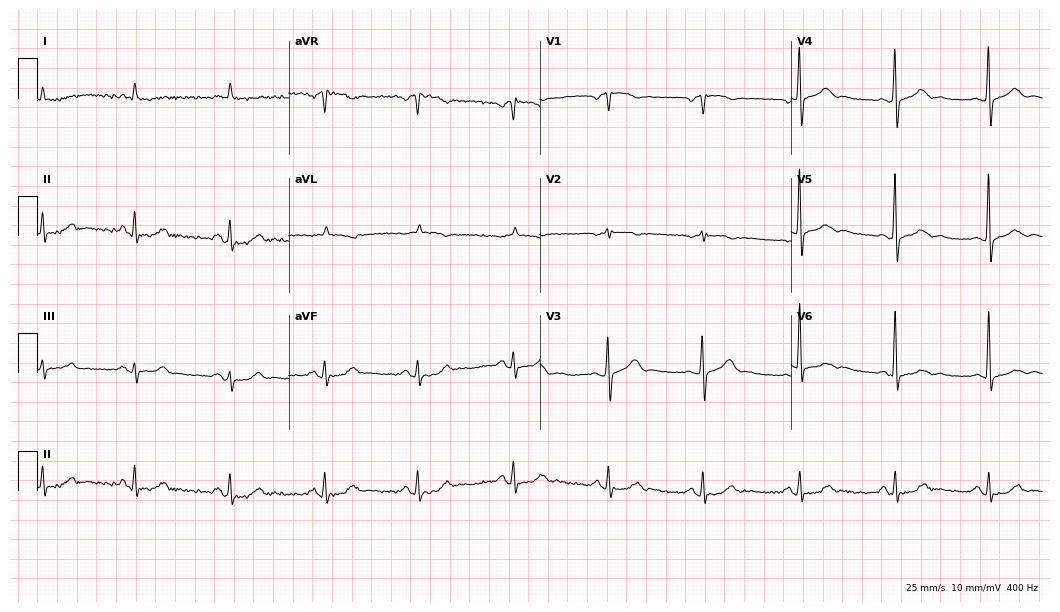
Electrocardiogram (10.2-second recording at 400 Hz), a 78-year-old male patient. Of the six screened findings (first-degree AV block, right bundle branch block, left bundle branch block, sinus bradycardia, atrial fibrillation, sinus tachycardia), none is recorded. Other findings, if any, are not listed.